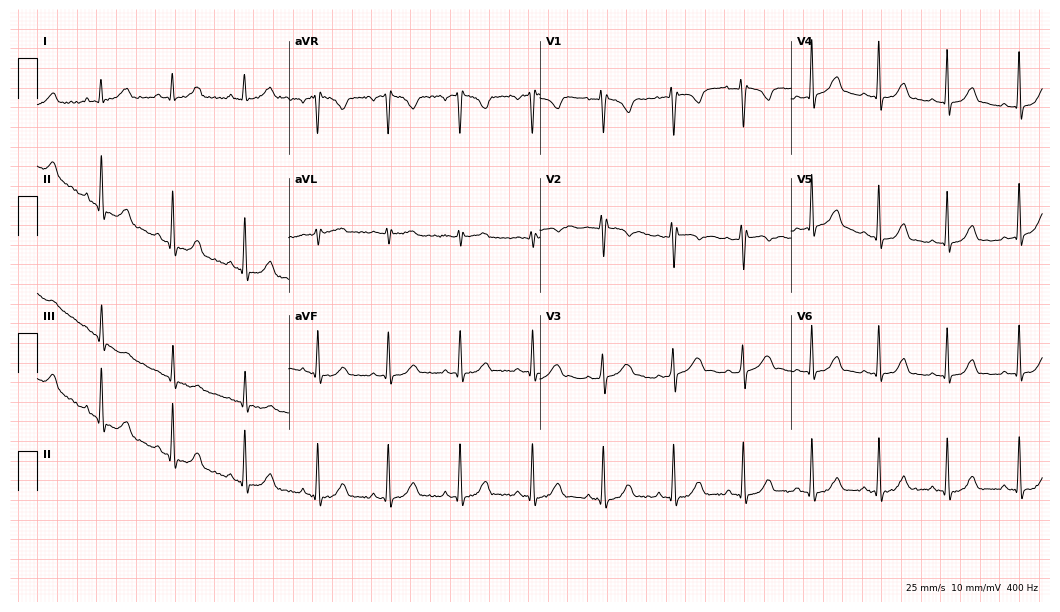
ECG (10.2-second recording at 400 Hz) — a female, 29 years old. Labelled as a normal ECG.